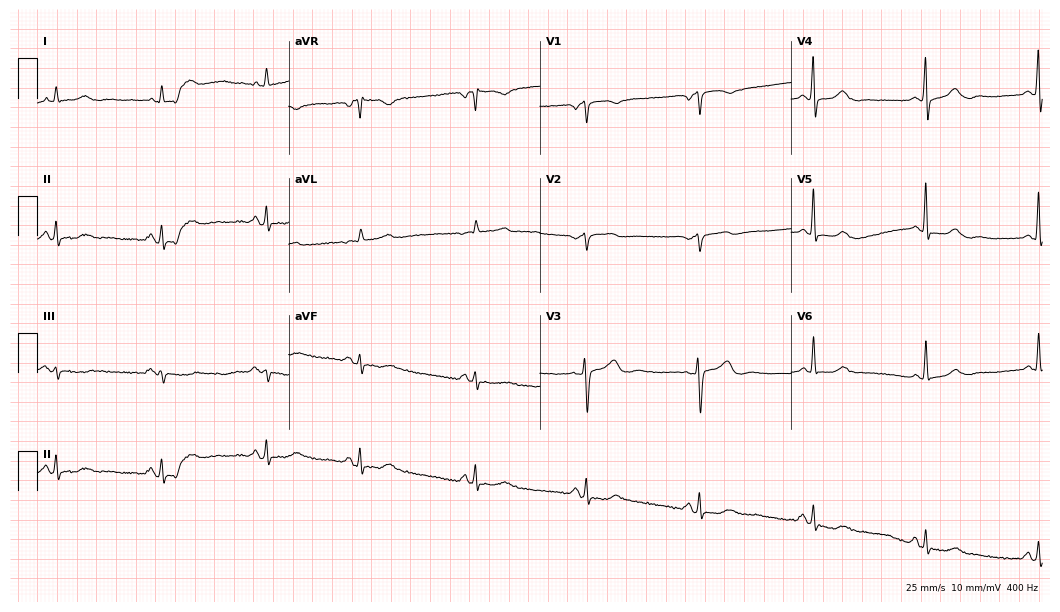
12-lead ECG from a male, 84 years old (10.2-second recording at 400 Hz). Recorded interpretation: within normal limits.